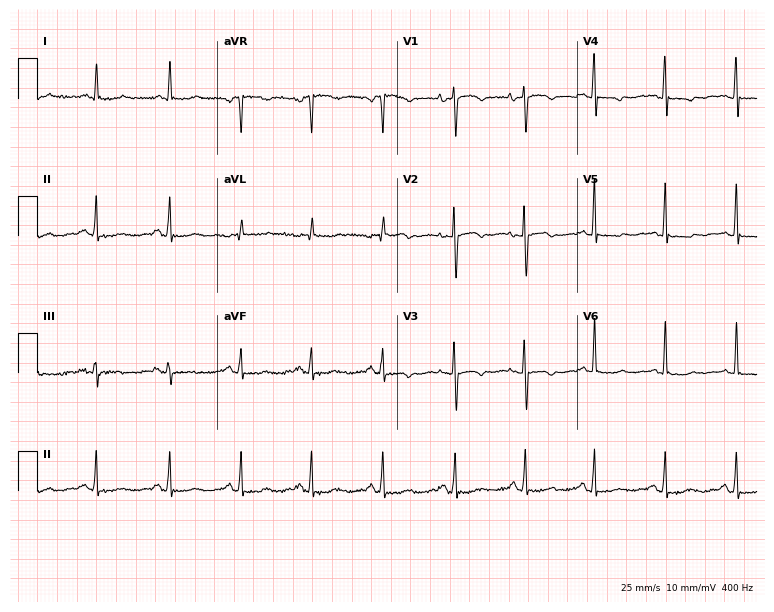
ECG — a 69-year-old female. Screened for six findings — first-degree AV block, right bundle branch block (RBBB), left bundle branch block (LBBB), sinus bradycardia, atrial fibrillation (AF), sinus tachycardia — none is recorded.